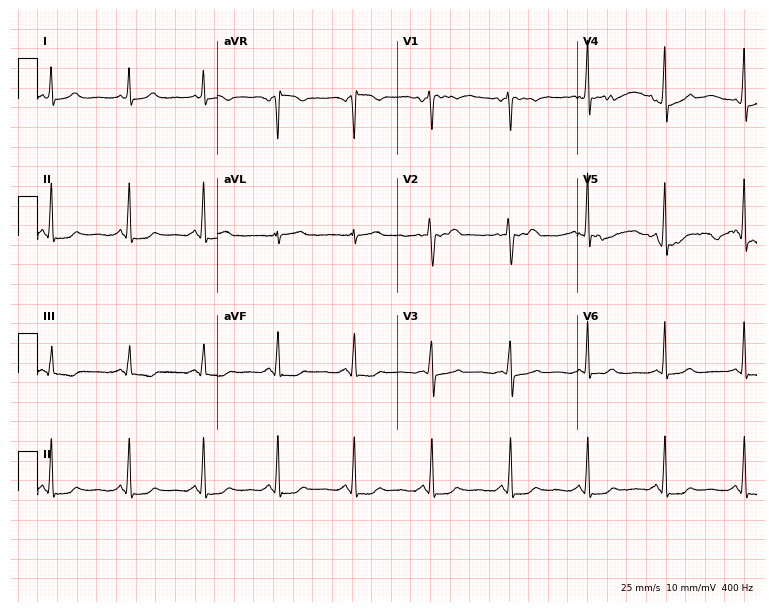
12-lead ECG from a female, 37 years old. No first-degree AV block, right bundle branch block (RBBB), left bundle branch block (LBBB), sinus bradycardia, atrial fibrillation (AF) or sinus tachycardia recorded for this tracing.